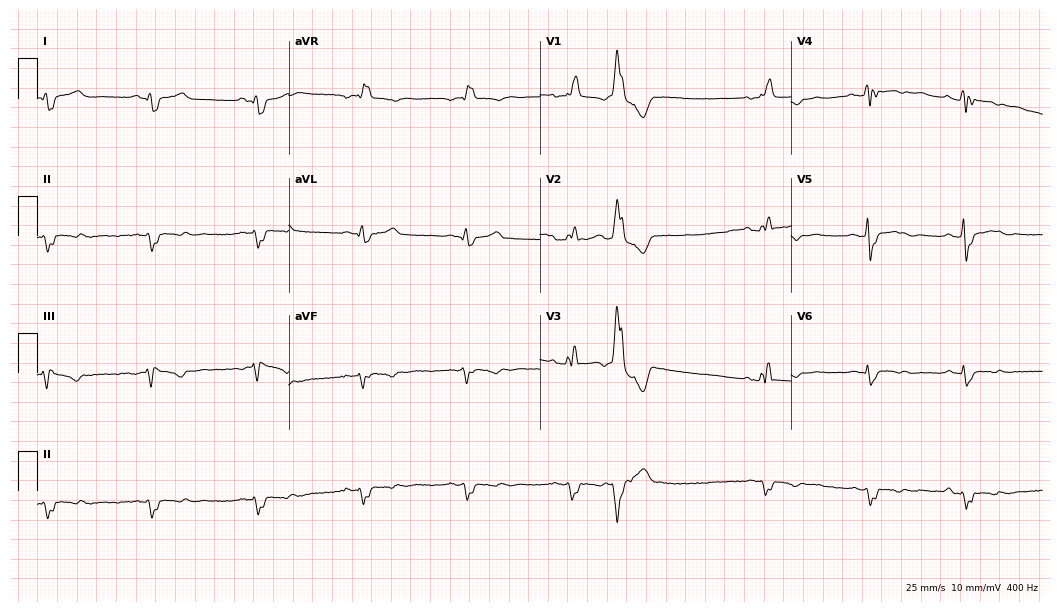
ECG (10.2-second recording at 400 Hz) — a female, 52 years old. Findings include right bundle branch block (RBBB).